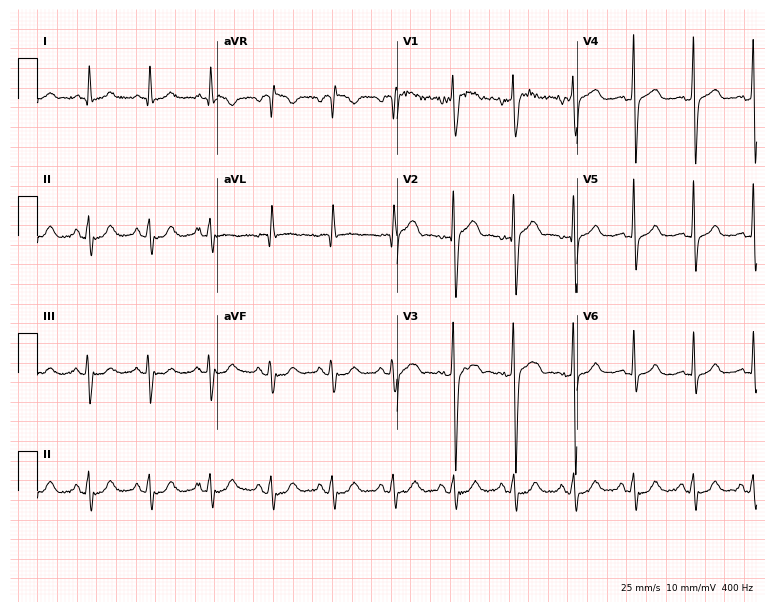
ECG (7.3-second recording at 400 Hz) — a man, 54 years old. Labelled as a normal ECG.